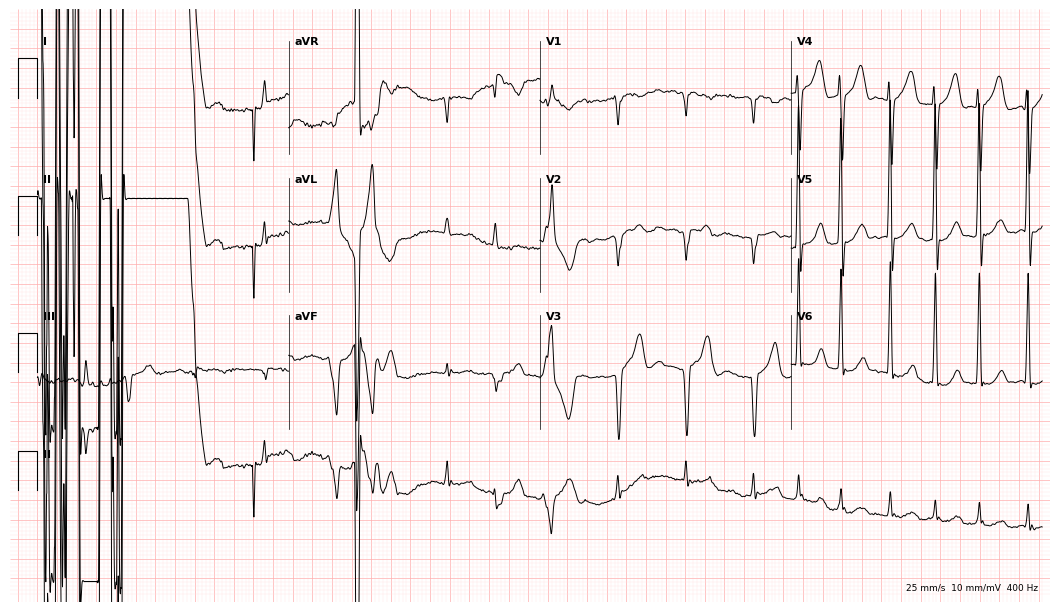
Standard 12-lead ECG recorded from an 84-year-old male (10.2-second recording at 400 Hz). The tracing shows atrial fibrillation.